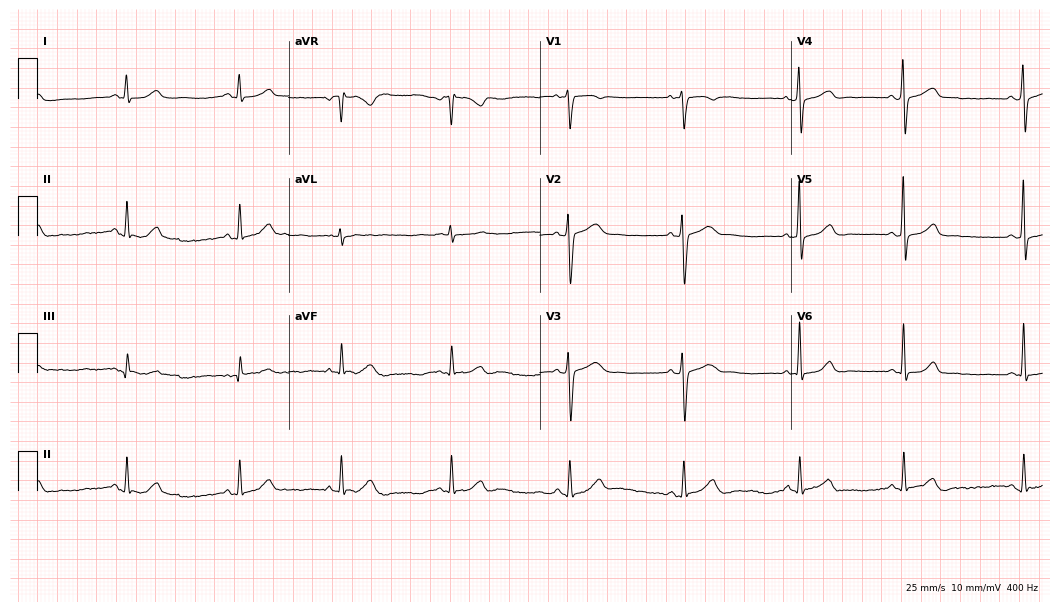
12-lead ECG from a female patient, 27 years old. Labelled as a normal ECG.